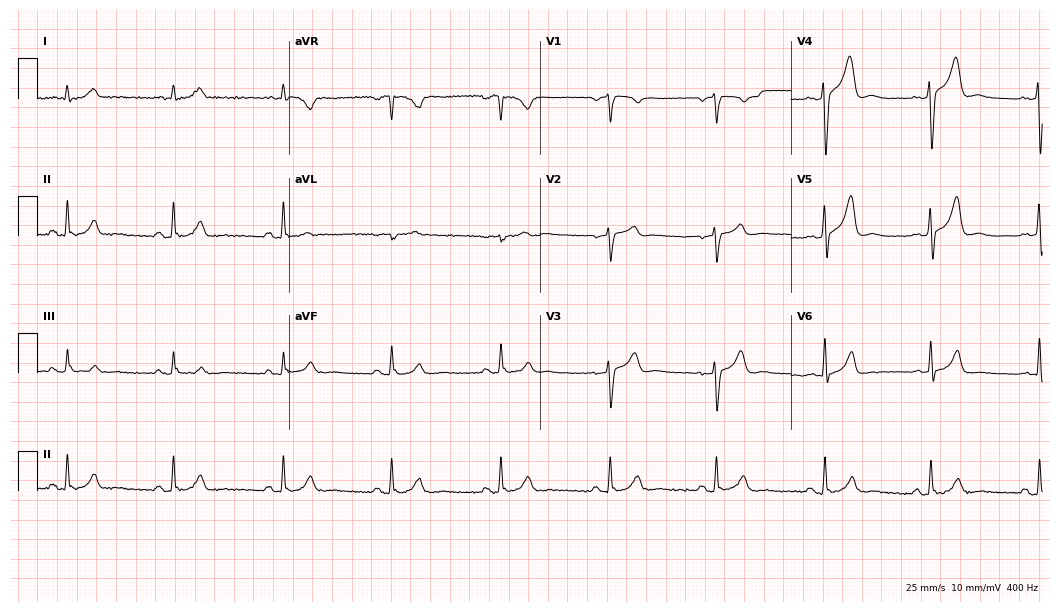
Electrocardiogram (10.2-second recording at 400 Hz), a man, 48 years old. Of the six screened findings (first-degree AV block, right bundle branch block, left bundle branch block, sinus bradycardia, atrial fibrillation, sinus tachycardia), none is recorded. Findings outside these six are not listed.